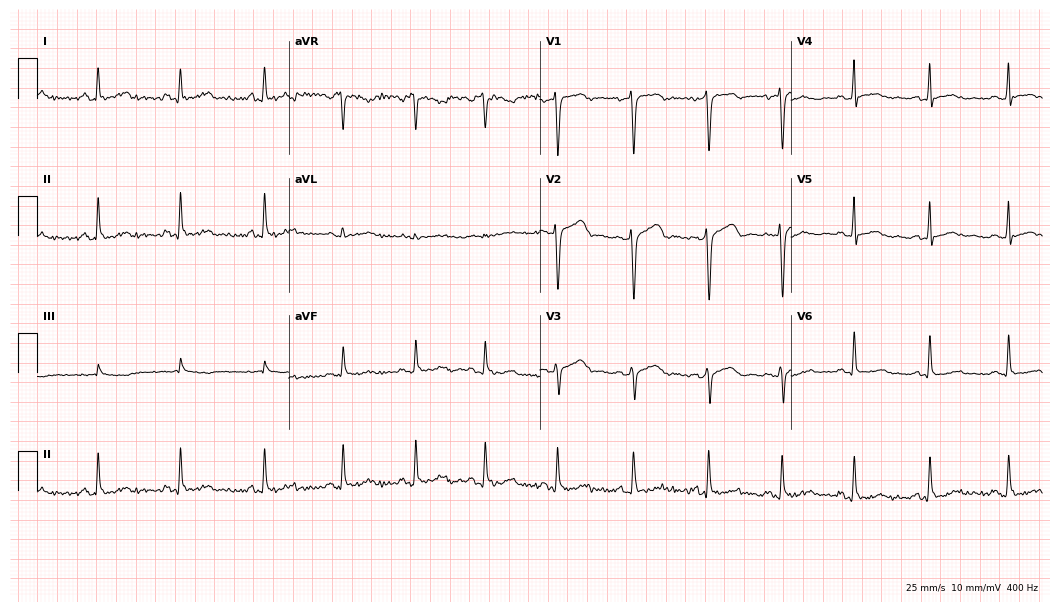
Resting 12-lead electrocardiogram (10.2-second recording at 400 Hz). Patient: a female, 37 years old. None of these six findings is recorded: first-degree AV block, right bundle branch block (RBBB), left bundle branch block (LBBB), sinus bradycardia, atrial fibrillation (AF), sinus tachycardia.